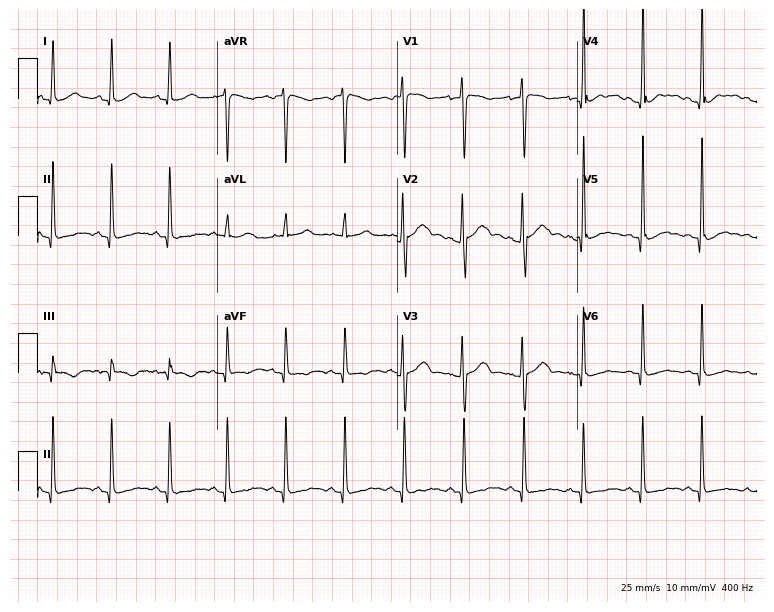
Electrocardiogram (7.3-second recording at 400 Hz), a man, 17 years old. Overall reading on record: normal ECG.